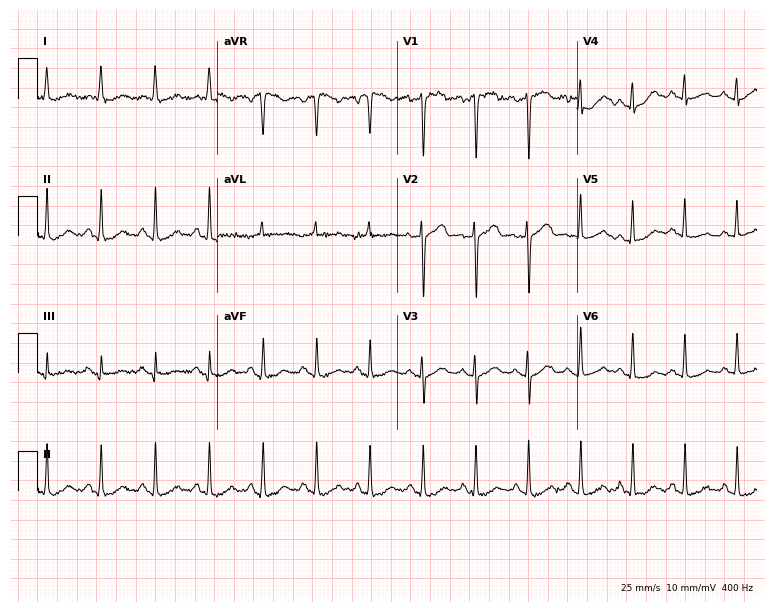
12-lead ECG from a female patient, 53 years old (7.3-second recording at 400 Hz). No first-degree AV block, right bundle branch block (RBBB), left bundle branch block (LBBB), sinus bradycardia, atrial fibrillation (AF) or sinus tachycardia recorded for this tracing. Findings outside these six are not listed.